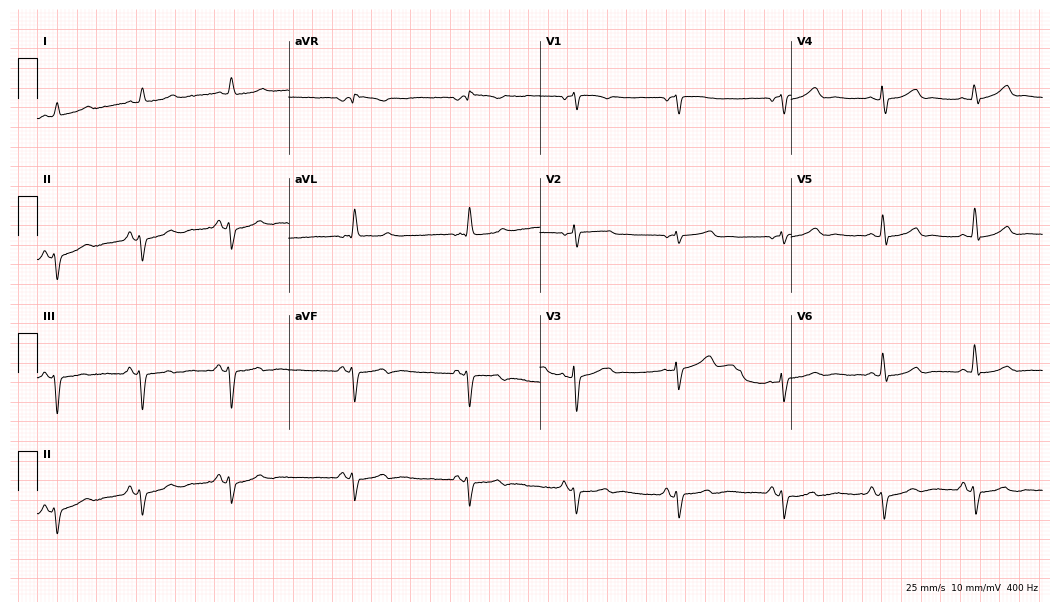
Standard 12-lead ECG recorded from an 82-year-old woman. None of these six findings is recorded: first-degree AV block, right bundle branch block (RBBB), left bundle branch block (LBBB), sinus bradycardia, atrial fibrillation (AF), sinus tachycardia.